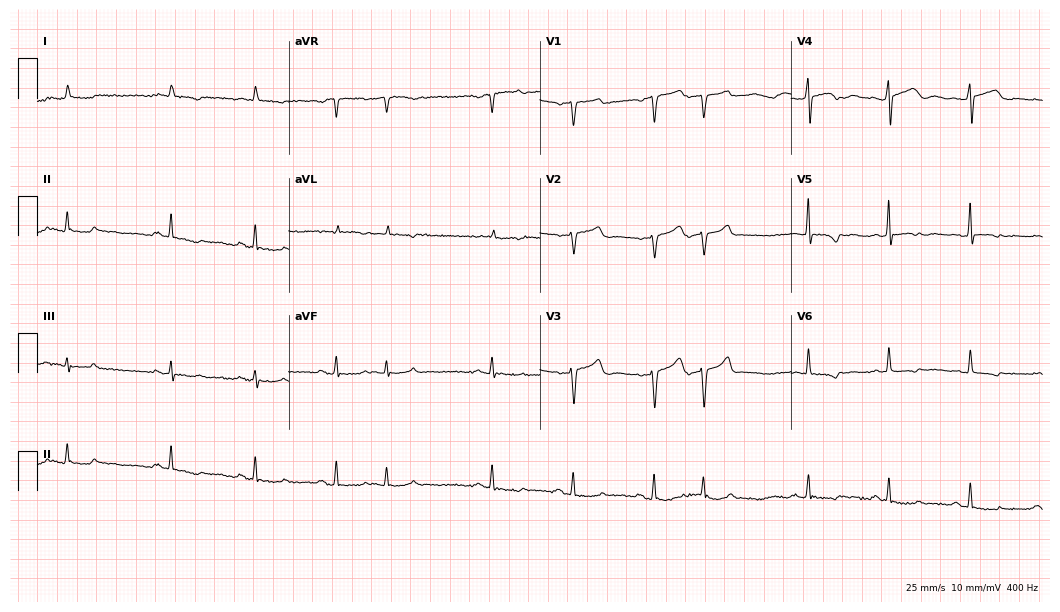
12-lead ECG (10.2-second recording at 400 Hz) from a 70-year-old male. Screened for six findings — first-degree AV block, right bundle branch block, left bundle branch block, sinus bradycardia, atrial fibrillation, sinus tachycardia — none is recorded. Only these six findings were labelled.